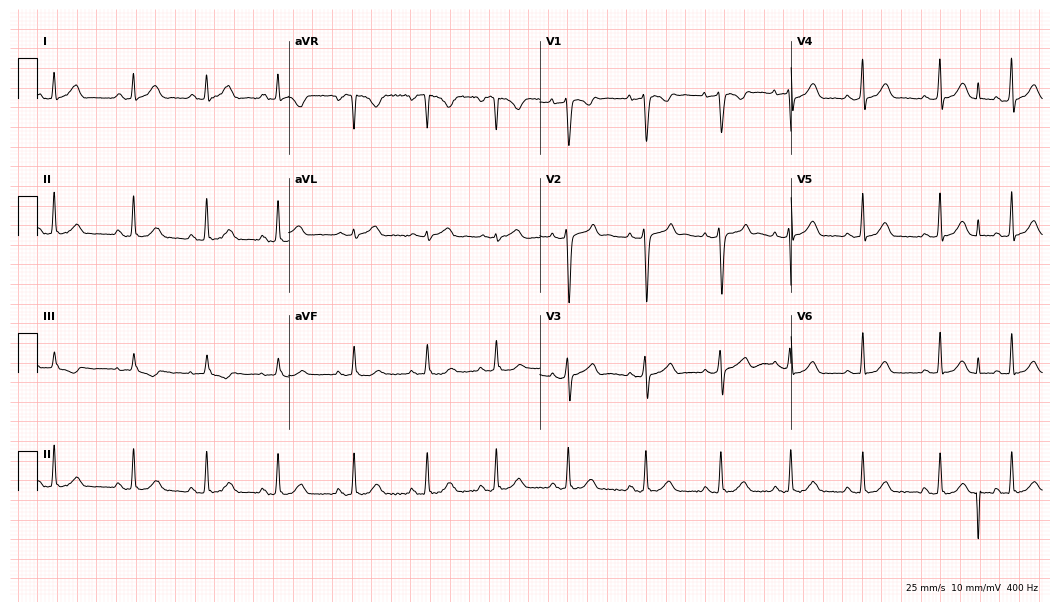
12-lead ECG (10.2-second recording at 400 Hz) from a 20-year-old woman. Labelled as a normal ECG.